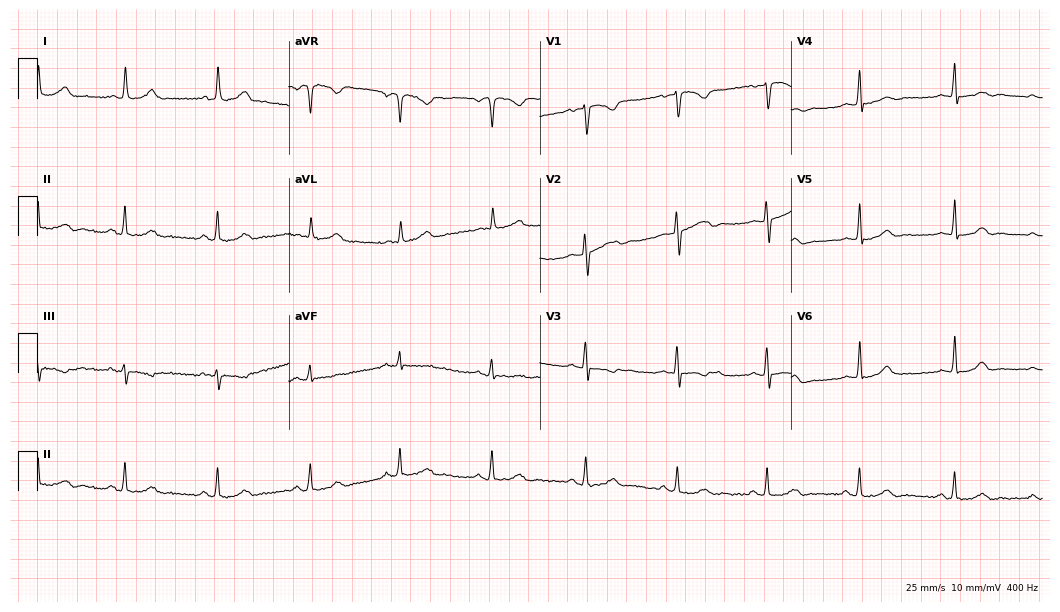
Standard 12-lead ECG recorded from a female, 19 years old (10.2-second recording at 400 Hz). Read as a normal ECG.